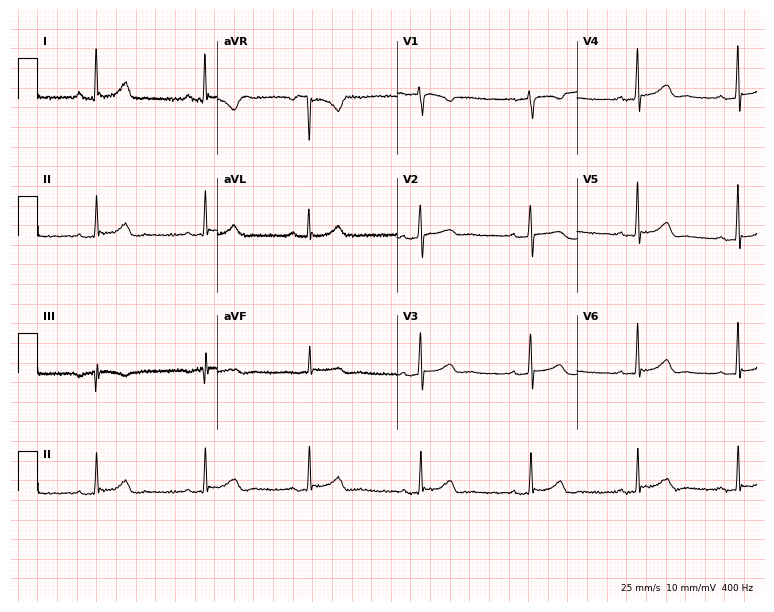
12-lead ECG from a 48-year-old woman (7.3-second recording at 400 Hz). Recorded interpretation: within normal limits.